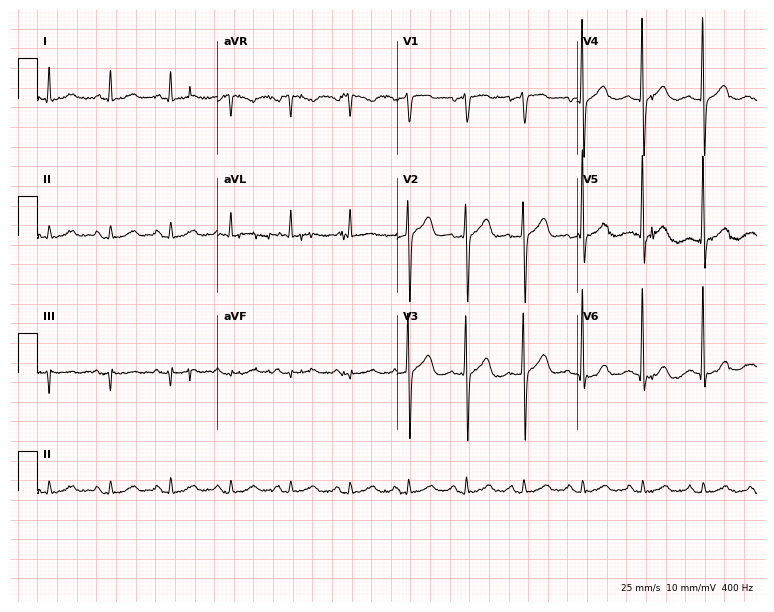
Standard 12-lead ECG recorded from a 48-year-old man (7.3-second recording at 400 Hz). None of these six findings is recorded: first-degree AV block, right bundle branch block (RBBB), left bundle branch block (LBBB), sinus bradycardia, atrial fibrillation (AF), sinus tachycardia. Other findings, if any, are not listed.